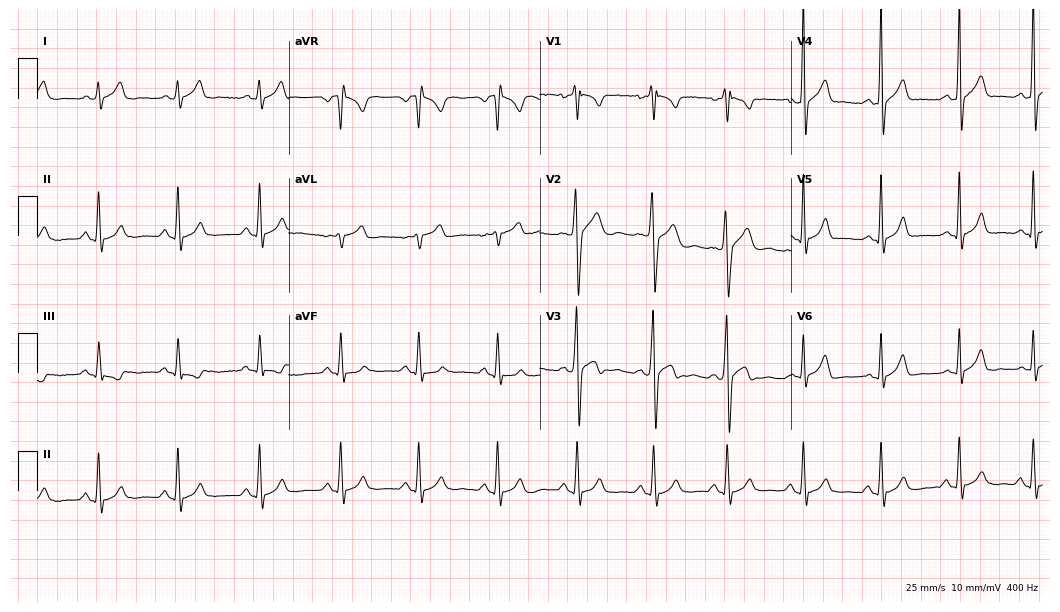
Resting 12-lead electrocardiogram (10.2-second recording at 400 Hz). Patient: a male, 23 years old. Read as a normal ECG.